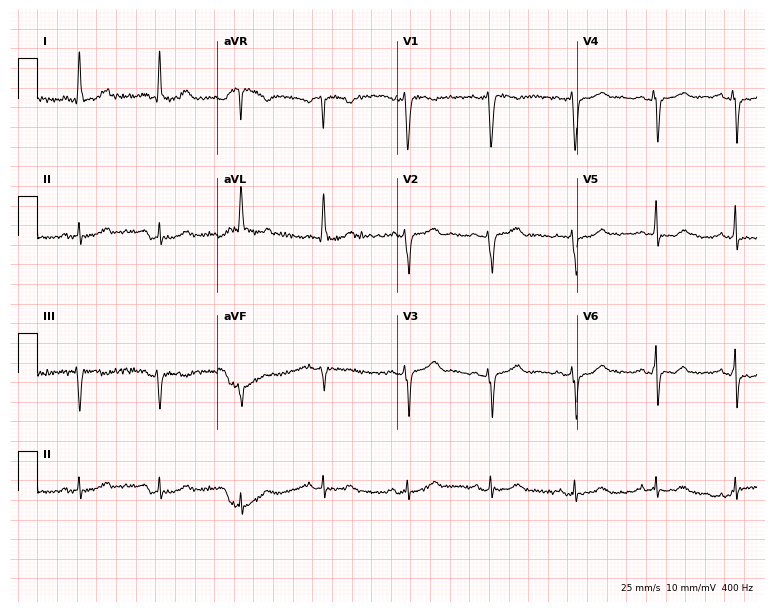
Standard 12-lead ECG recorded from a female patient, 47 years old. Read as a normal ECG.